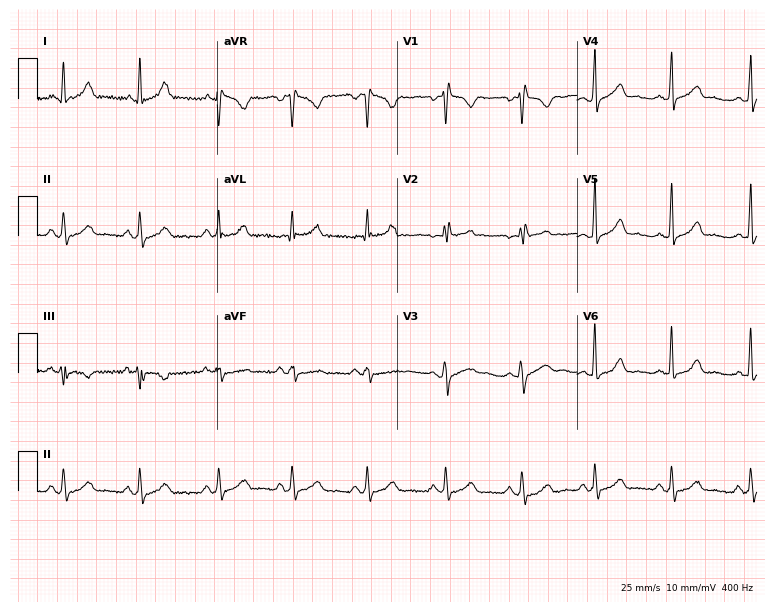
12-lead ECG (7.3-second recording at 400 Hz) from a female patient, 33 years old. Labelled as a normal ECG.